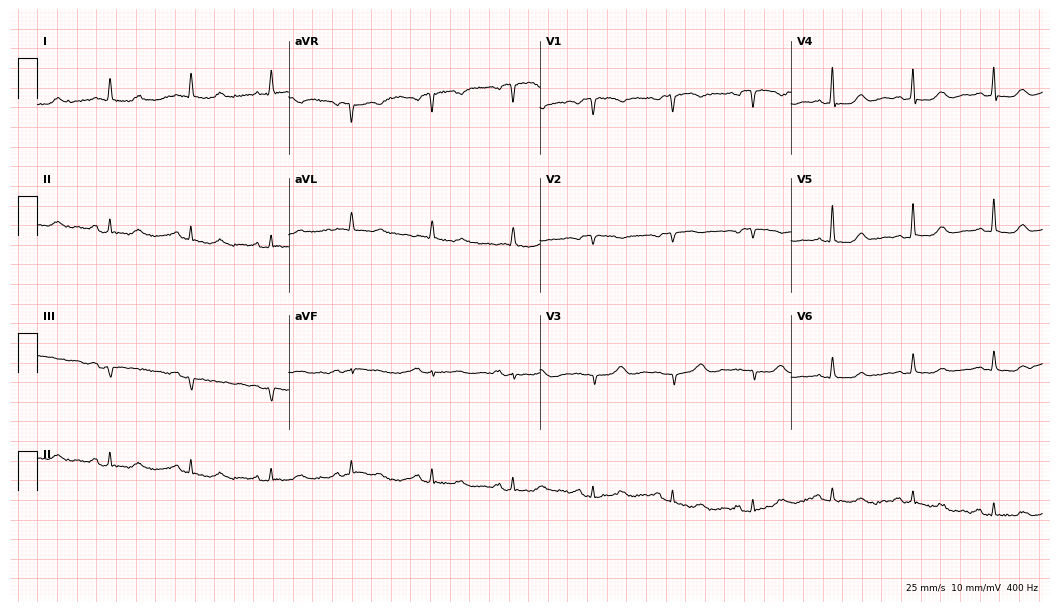
ECG (10.2-second recording at 400 Hz) — an 83-year-old female patient. Screened for six findings — first-degree AV block, right bundle branch block, left bundle branch block, sinus bradycardia, atrial fibrillation, sinus tachycardia — none is recorded.